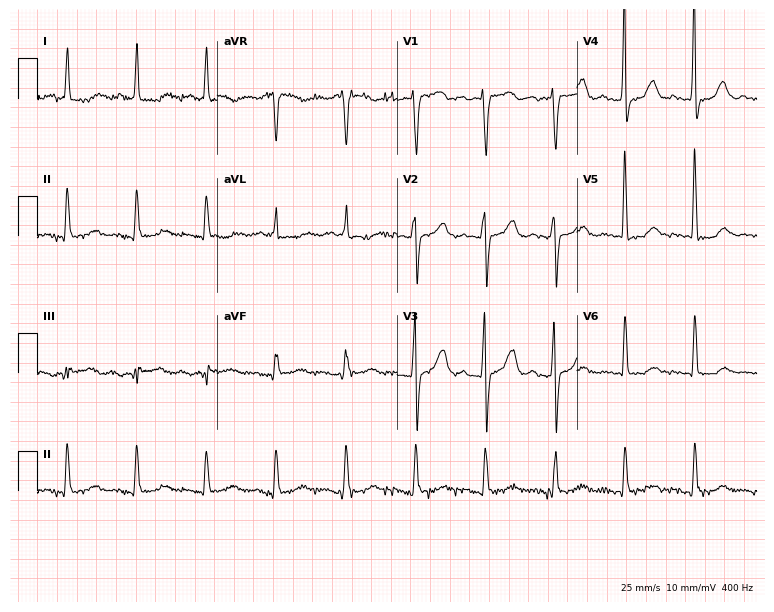
ECG — a 73-year-old female patient. Findings include first-degree AV block.